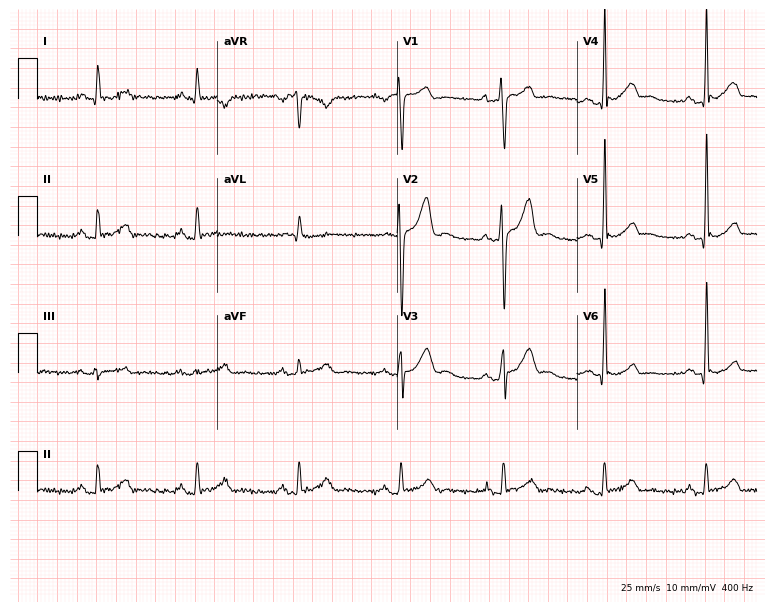
ECG — a male, 42 years old. Labelled as a normal ECG.